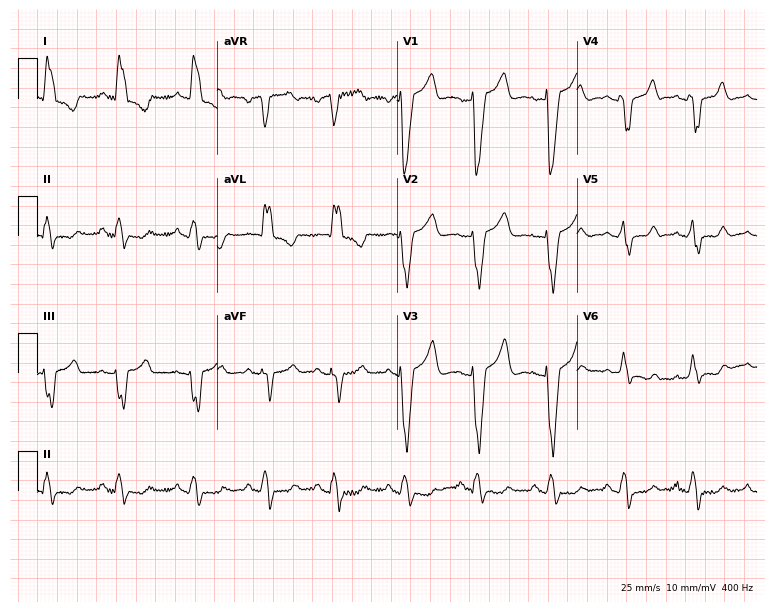
Standard 12-lead ECG recorded from a woman, 55 years old. The tracing shows left bundle branch block (LBBB).